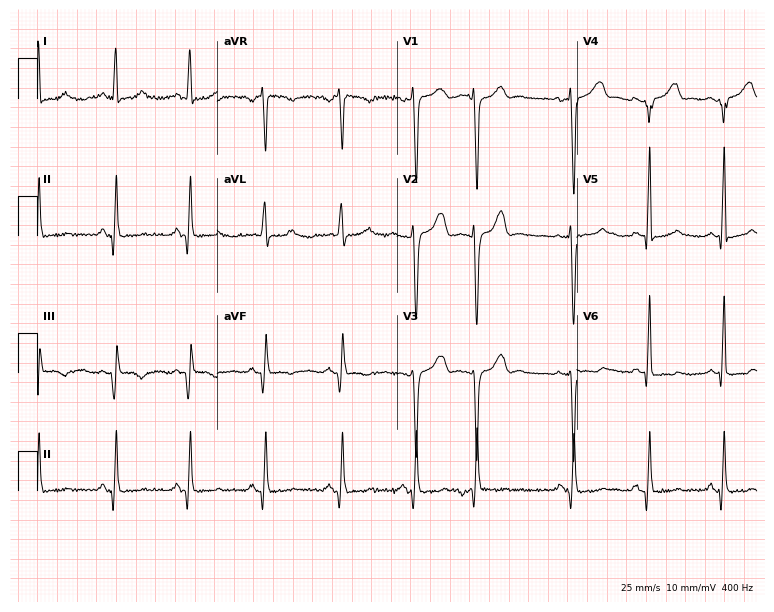
Electrocardiogram, a woman, 54 years old. Of the six screened findings (first-degree AV block, right bundle branch block (RBBB), left bundle branch block (LBBB), sinus bradycardia, atrial fibrillation (AF), sinus tachycardia), none is recorded. Other findings, if any, are not listed.